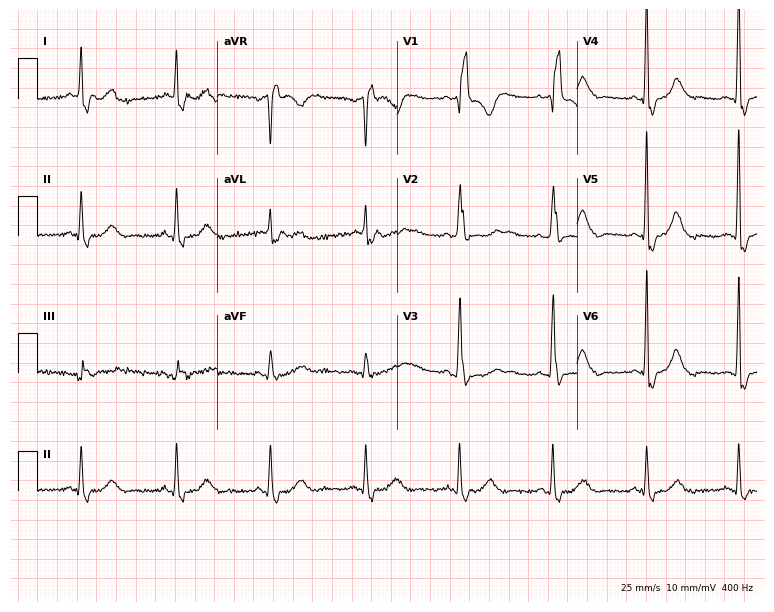
Resting 12-lead electrocardiogram. Patient: a man, 64 years old. The tracing shows right bundle branch block (RBBB).